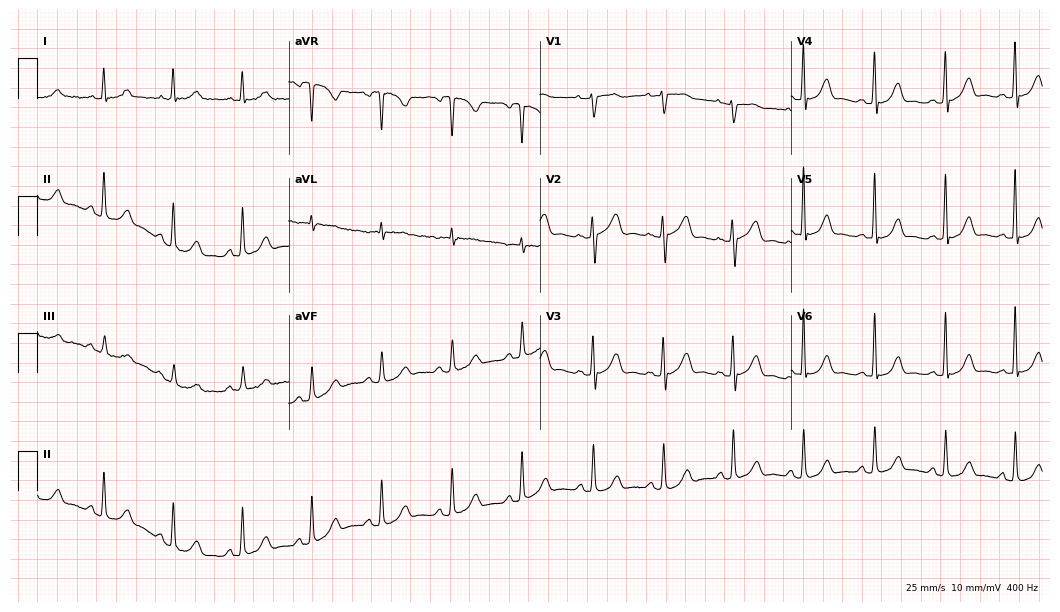
Resting 12-lead electrocardiogram (10.2-second recording at 400 Hz). Patient: a female, 81 years old. Read as a normal ECG.